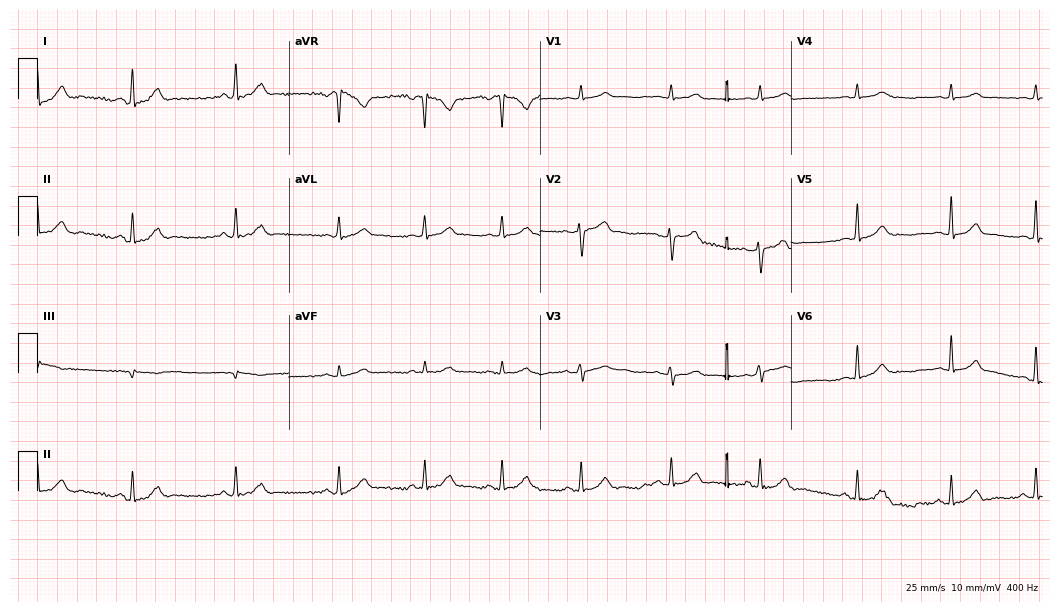
Resting 12-lead electrocardiogram. Patient: a 45-year-old female. Read as a normal ECG.